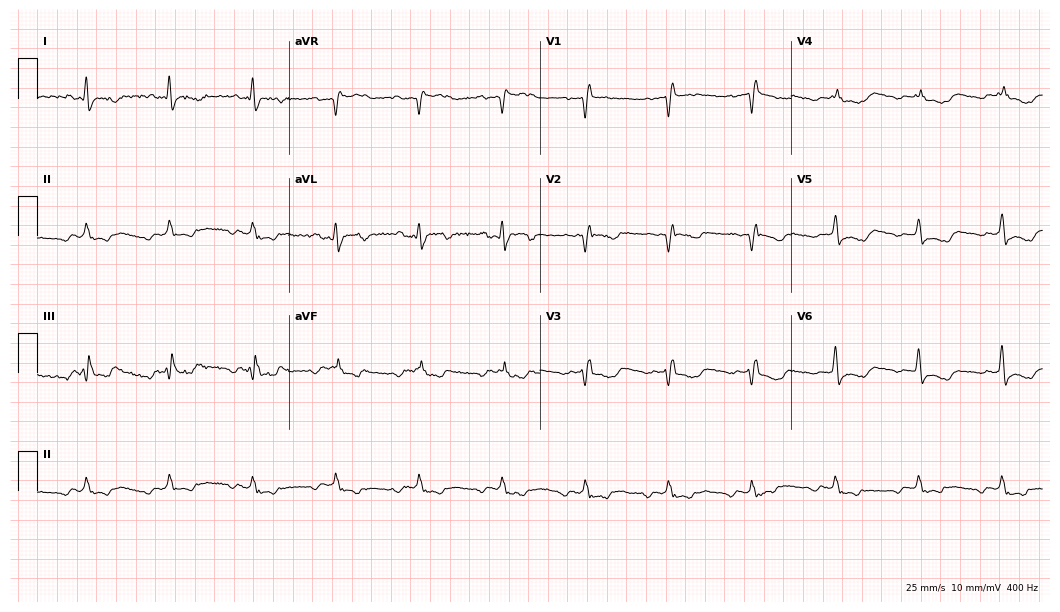
ECG — an 85-year-old woman. Screened for six findings — first-degree AV block, right bundle branch block, left bundle branch block, sinus bradycardia, atrial fibrillation, sinus tachycardia — none is recorded.